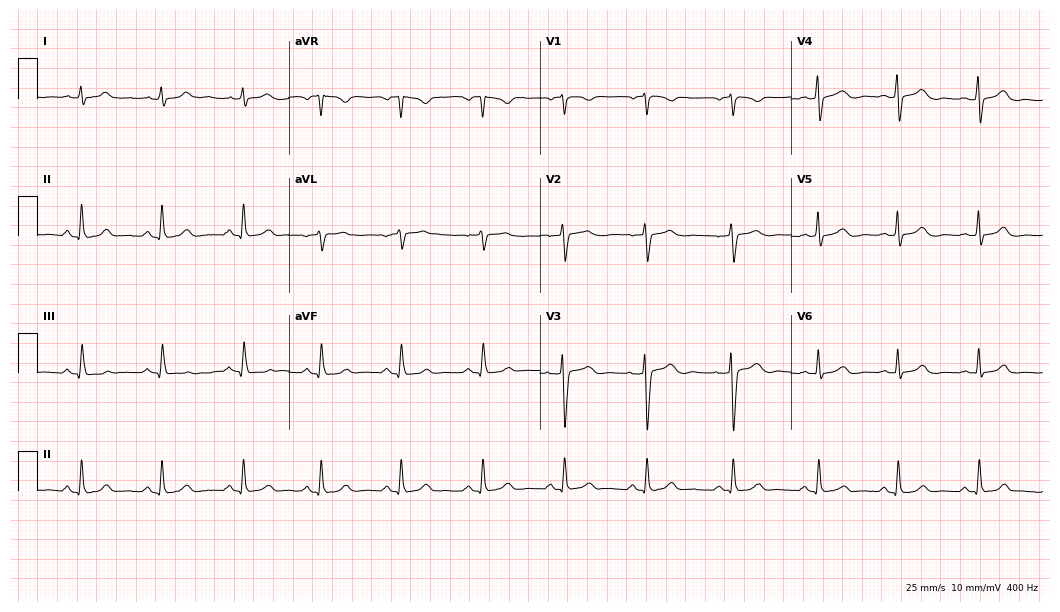
Resting 12-lead electrocardiogram. Patient: a female, 44 years old. Read as a normal ECG.